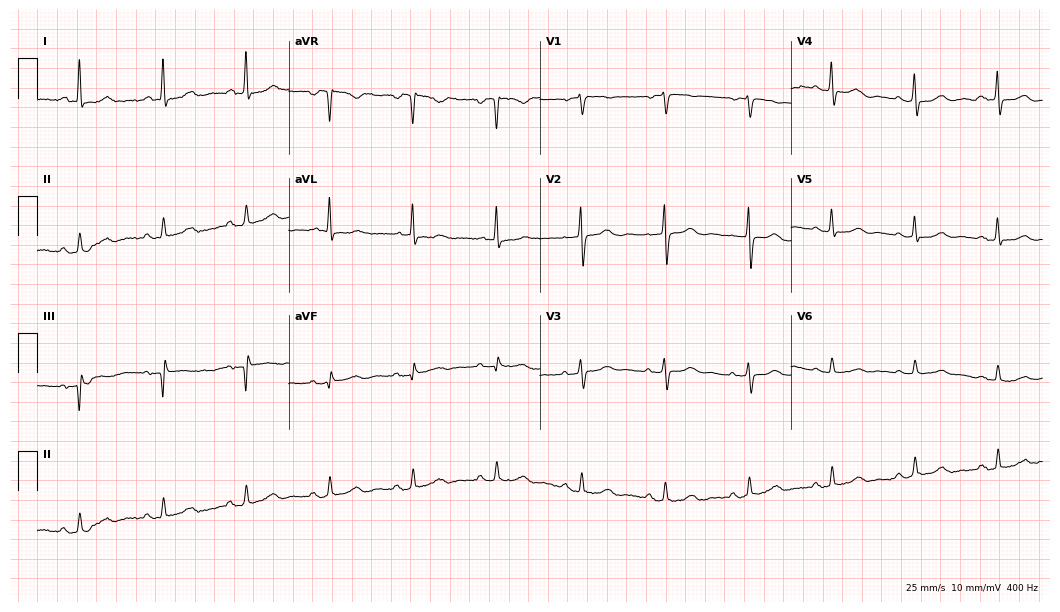
12-lead ECG from a female, 79 years old. Labelled as a normal ECG.